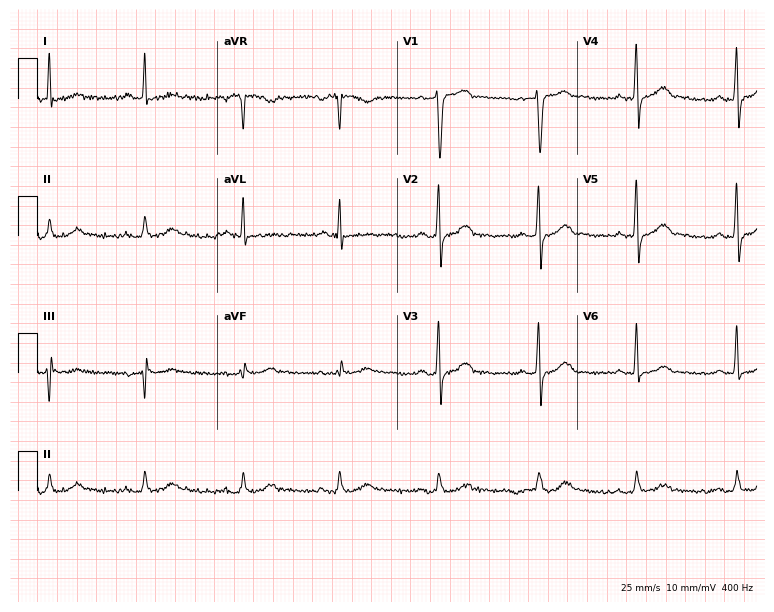
ECG — a male patient, 62 years old. Screened for six findings — first-degree AV block, right bundle branch block, left bundle branch block, sinus bradycardia, atrial fibrillation, sinus tachycardia — none is recorded.